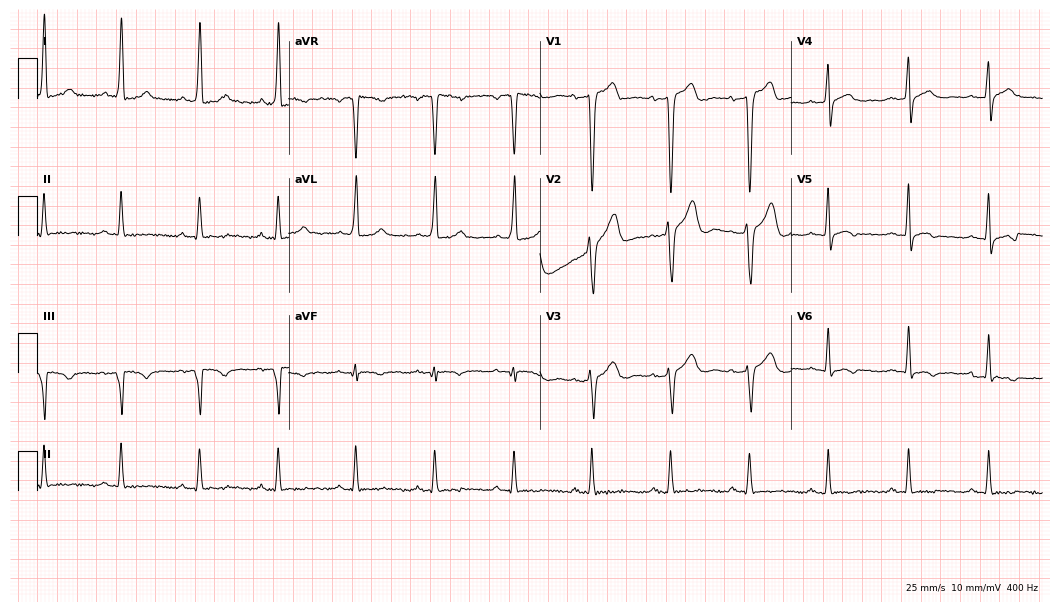
ECG — a man, 38 years old. Screened for six findings — first-degree AV block, right bundle branch block (RBBB), left bundle branch block (LBBB), sinus bradycardia, atrial fibrillation (AF), sinus tachycardia — none is recorded. Findings outside these six are not listed.